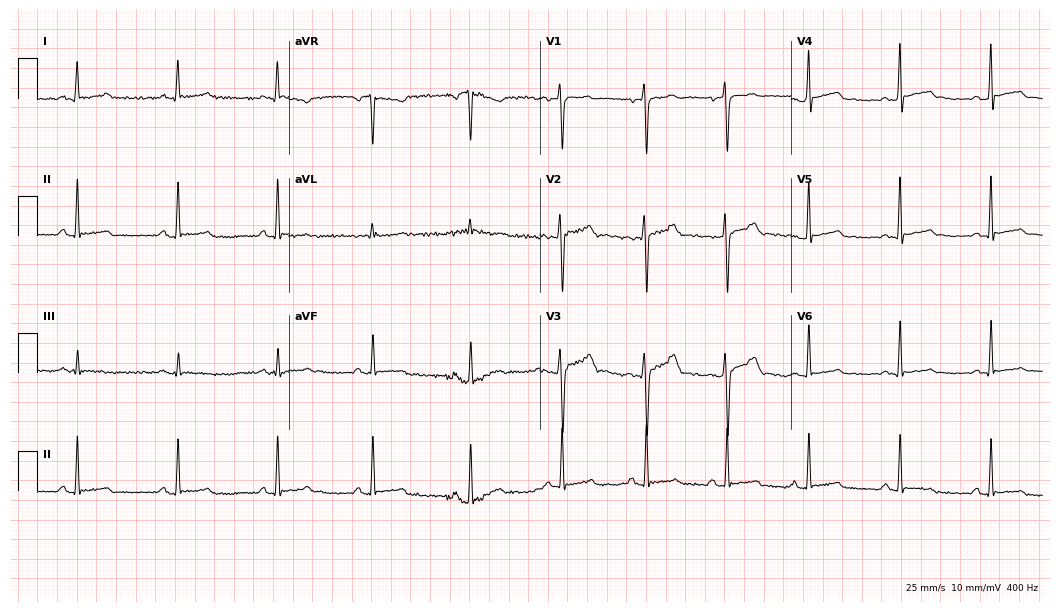
12-lead ECG from a male, 20 years old. Screened for six findings — first-degree AV block, right bundle branch block, left bundle branch block, sinus bradycardia, atrial fibrillation, sinus tachycardia — none is recorded.